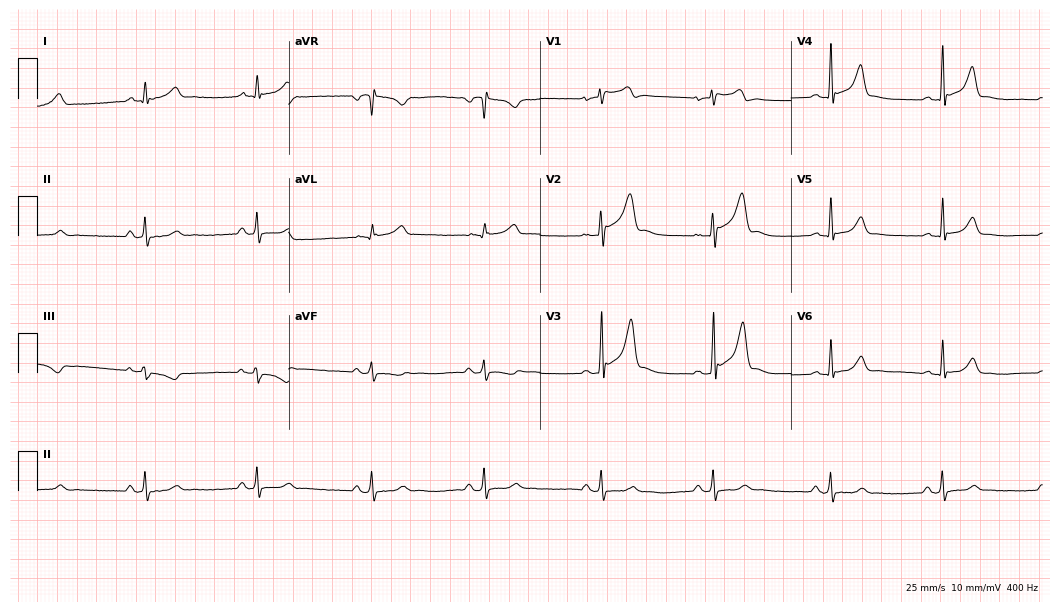
12-lead ECG from a man, 42 years old (10.2-second recording at 400 Hz). Recorded interpretation: within normal limits.